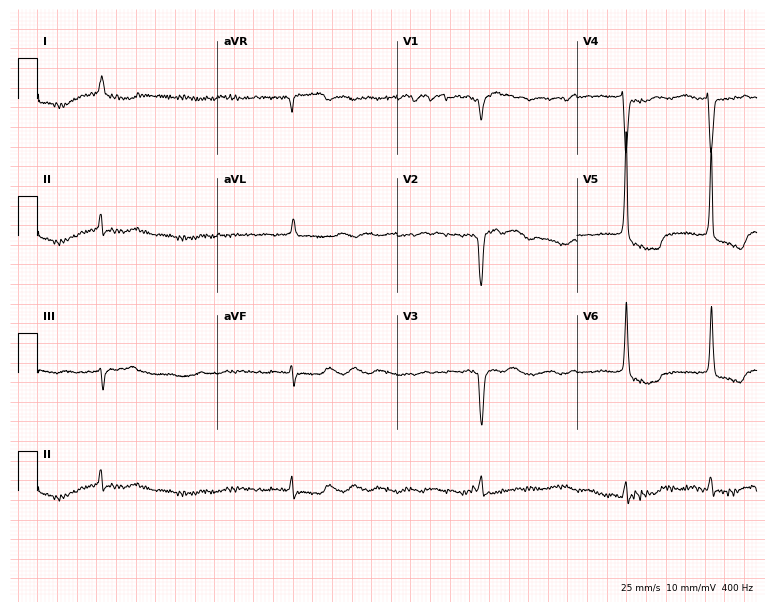
ECG — an 83-year-old woman. Findings include atrial fibrillation.